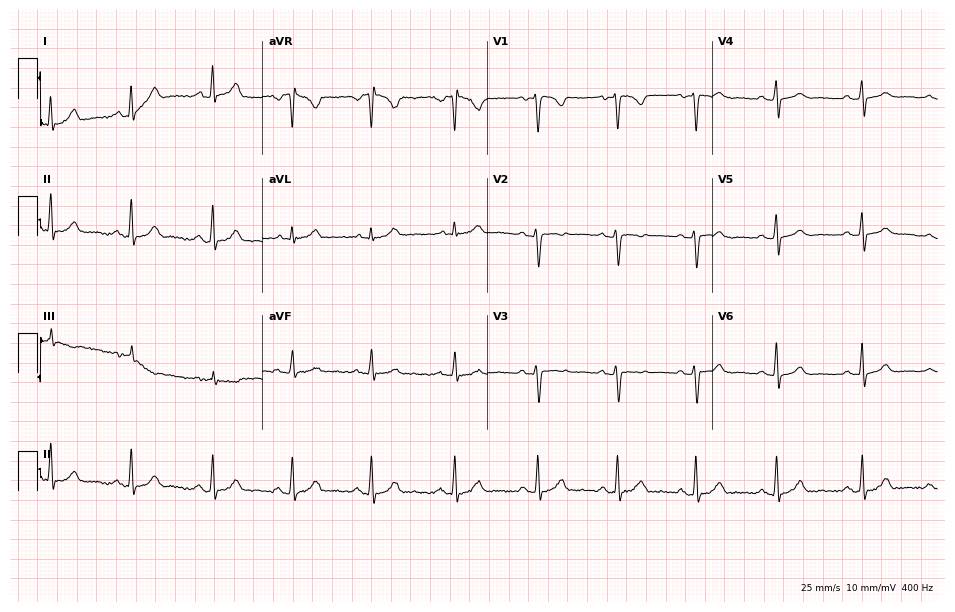
Resting 12-lead electrocardiogram (9.2-second recording at 400 Hz). Patient: a 42-year-old woman. Read as a normal ECG.